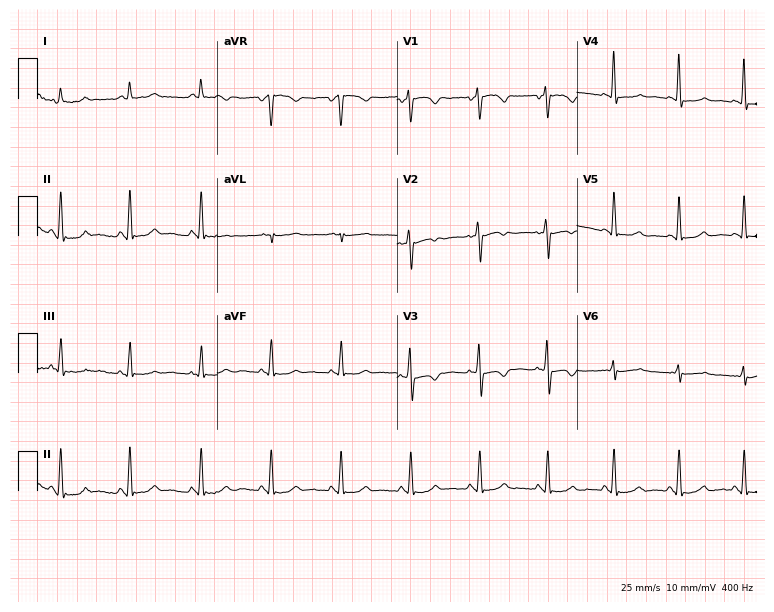
12-lead ECG from a woman, 53 years old. No first-degree AV block, right bundle branch block, left bundle branch block, sinus bradycardia, atrial fibrillation or sinus tachycardia recorded for this tracing.